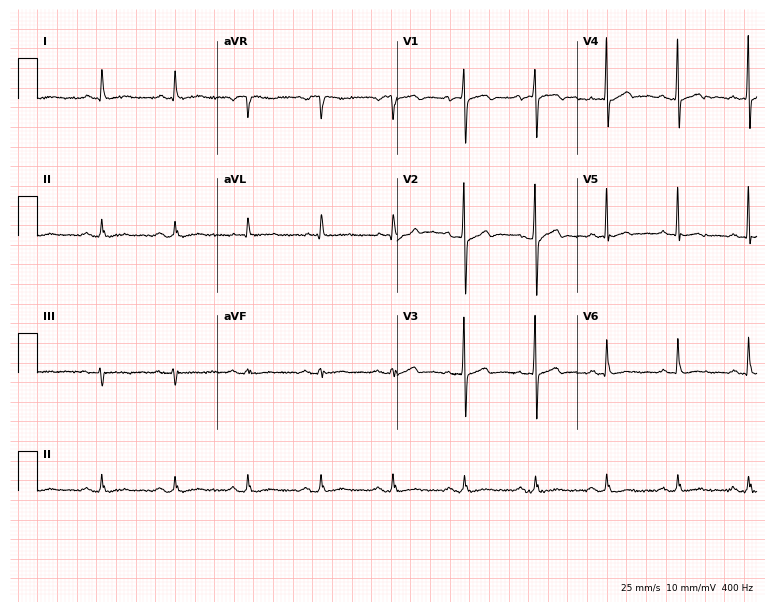
12-lead ECG (7.3-second recording at 400 Hz) from an 81-year-old man. Screened for six findings — first-degree AV block, right bundle branch block, left bundle branch block, sinus bradycardia, atrial fibrillation, sinus tachycardia — none is recorded.